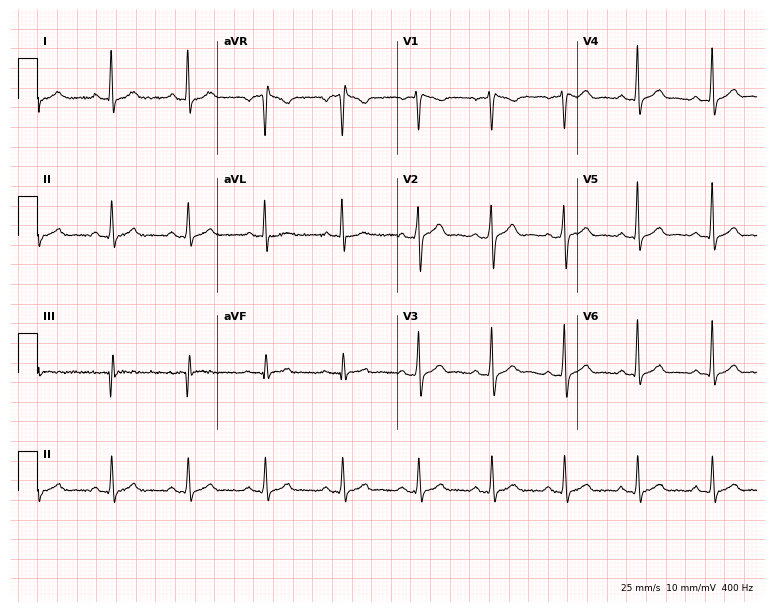
Standard 12-lead ECG recorded from a male, 34 years old (7.3-second recording at 400 Hz). Read as a normal ECG.